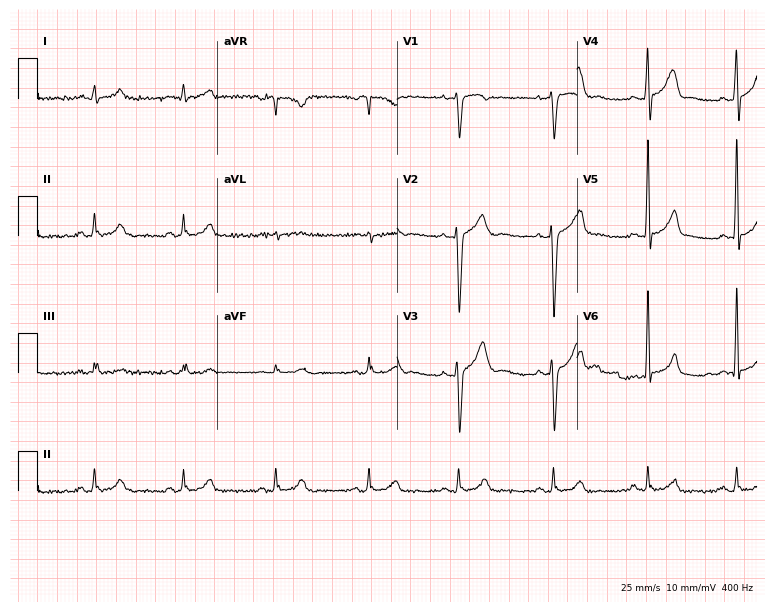
Electrocardiogram, a male, 35 years old. Of the six screened findings (first-degree AV block, right bundle branch block, left bundle branch block, sinus bradycardia, atrial fibrillation, sinus tachycardia), none is recorded.